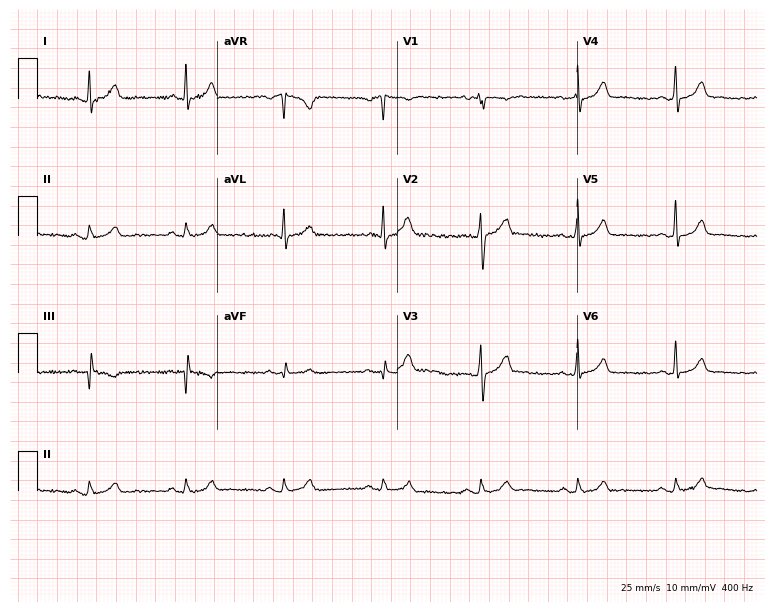
Electrocardiogram (7.3-second recording at 400 Hz), a male patient, 45 years old. Of the six screened findings (first-degree AV block, right bundle branch block, left bundle branch block, sinus bradycardia, atrial fibrillation, sinus tachycardia), none is recorded. Findings outside these six are not listed.